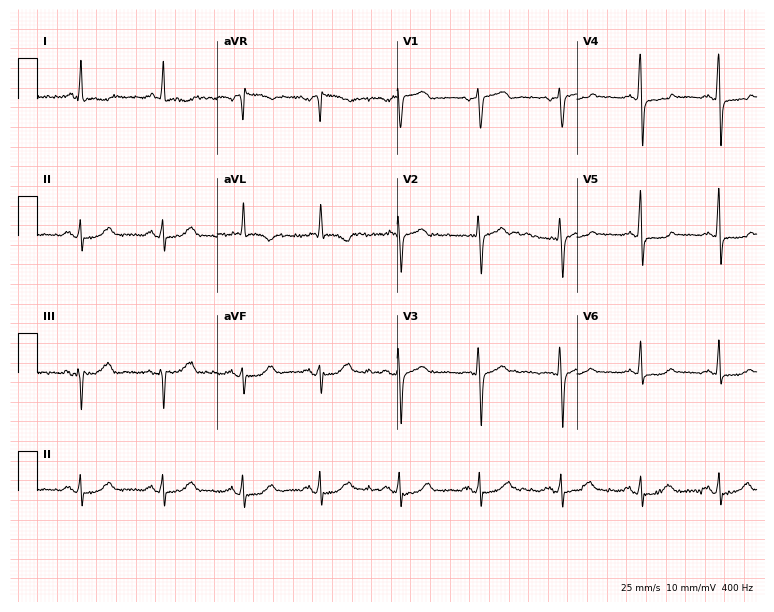
Electrocardiogram (7.3-second recording at 400 Hz), a female patient, 72 years old. Of the six screened findings (first-degree AV block, right bundle branch block (RBBB), left bundle branch block (LBBB), sinus bradycardia, atrial fibrillation (AF), sinus tachycardia), none is recorded. Other findings, if any, are not listed.